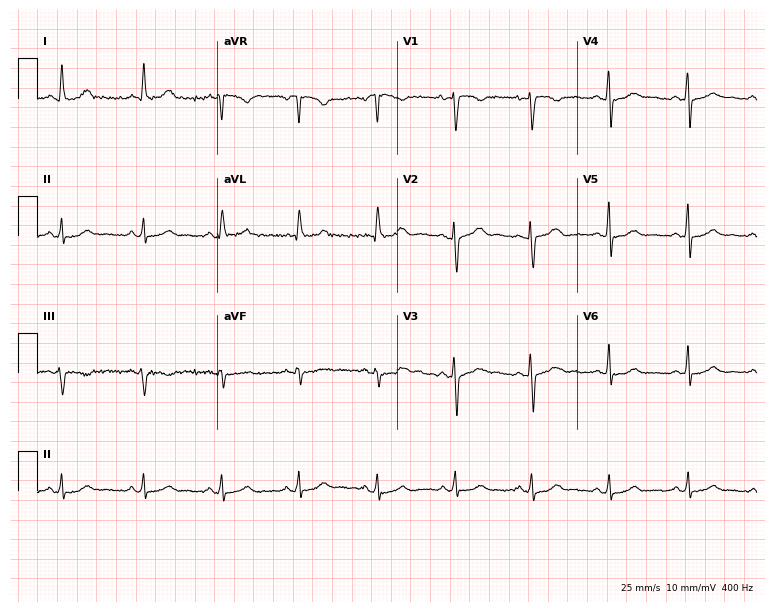
12-lead ECG from a female patient, 36 years old. Screened for six findings — first-degree AV block, right bundle branch block (RBBB), left bundle branch block (LBBB), sinus bradycardia, atrial fibrillation (AF), sinus tachycardia — none is recorded. Findings outside these six are not listed.